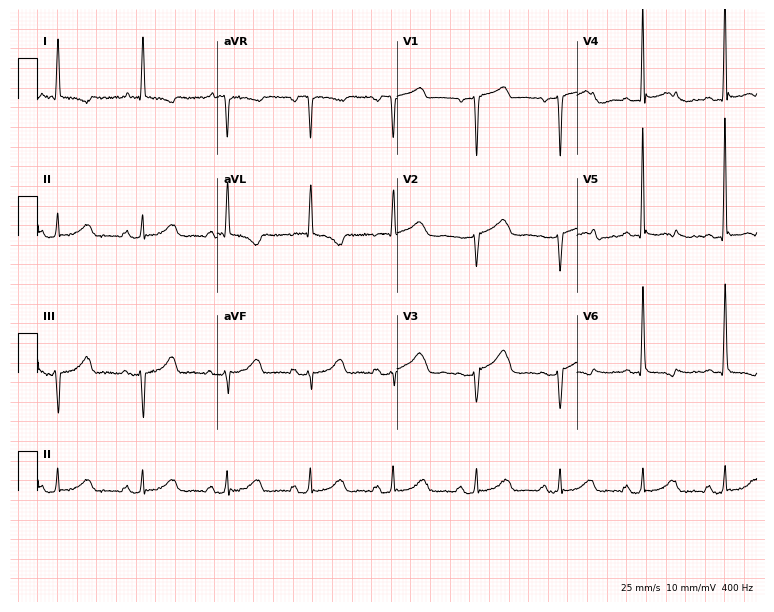
Electrocardiogram, a female, 67 years old. Of the six screened findings (first-degree AV block, right bundle branch block, left bundle branch block, sinus bradycardia, atrial fibrillation, sinus tachycardia), none is recorded.